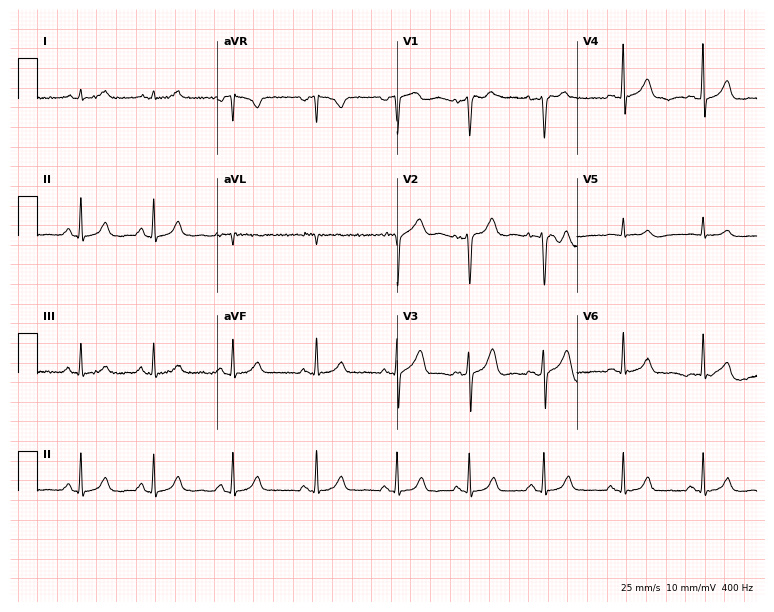
Electrocardiogram (7.3-second recording at 400 Hz), a female, 36 years old. Overall reading on record: normal ECG.